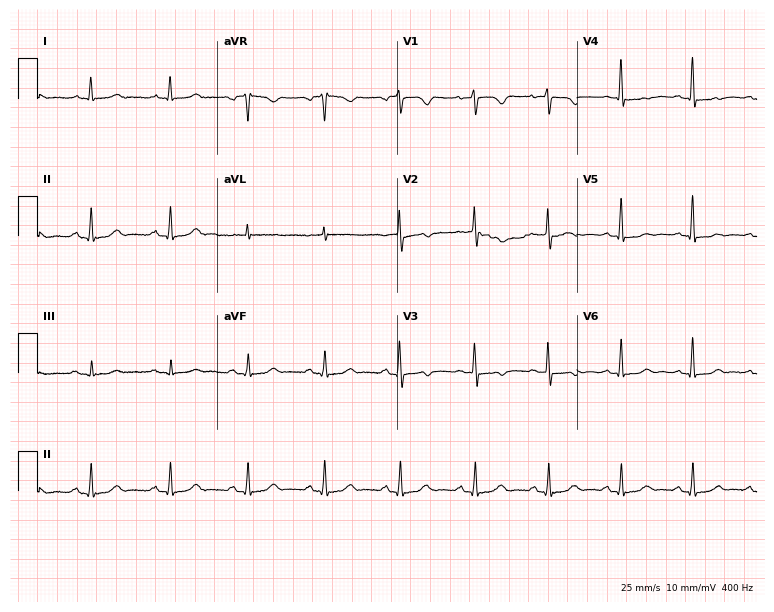
12-lead ECG (7.3-second recording at 400 Hz) from a woman, 59 years old. Screened for six findings — first-degree AV block, right bundle branch block, left bundle branch block, sinus bradycardia, atrial fibrillation, sinus tachycardia — none is recorded. Other findings, if any, are not listed.